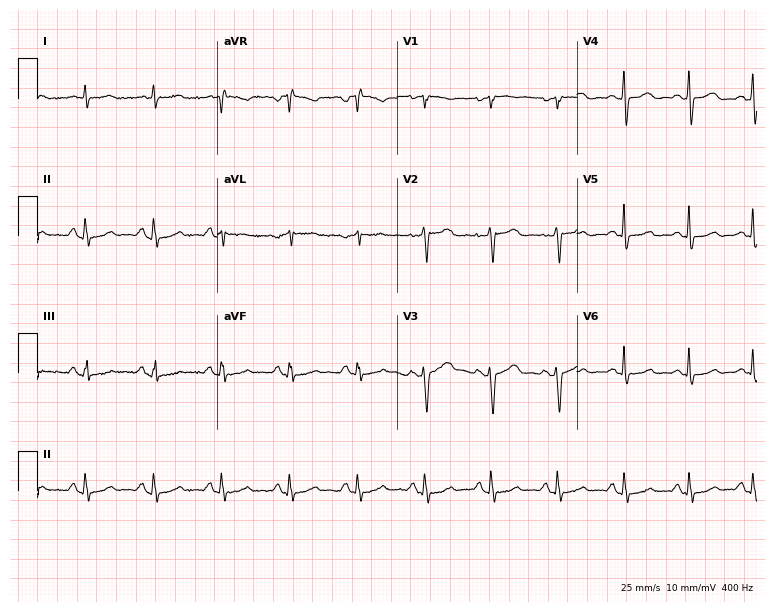
ECG (7.3-second recording at 400 Hz) — a woman, 66 years old. Labelled as a normal ECG.